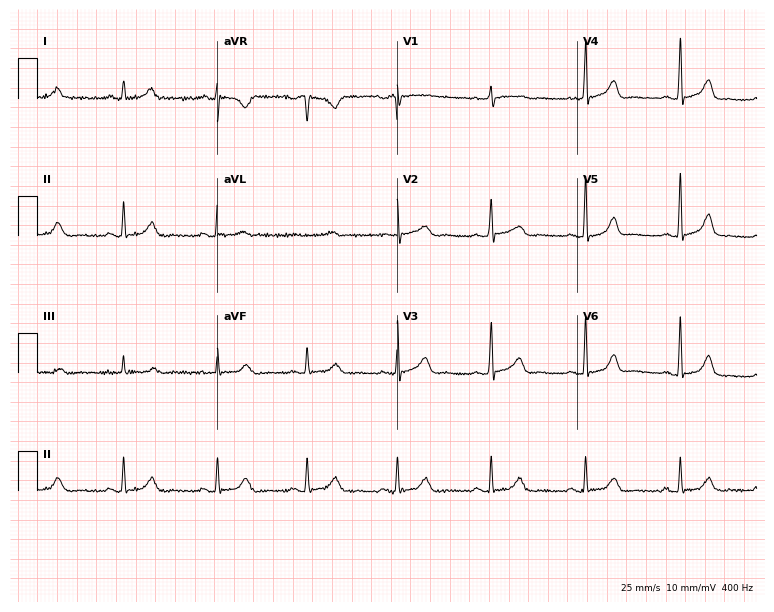
12-lead ECG from a woman, 42 years old. Labelled as a normal ECG.